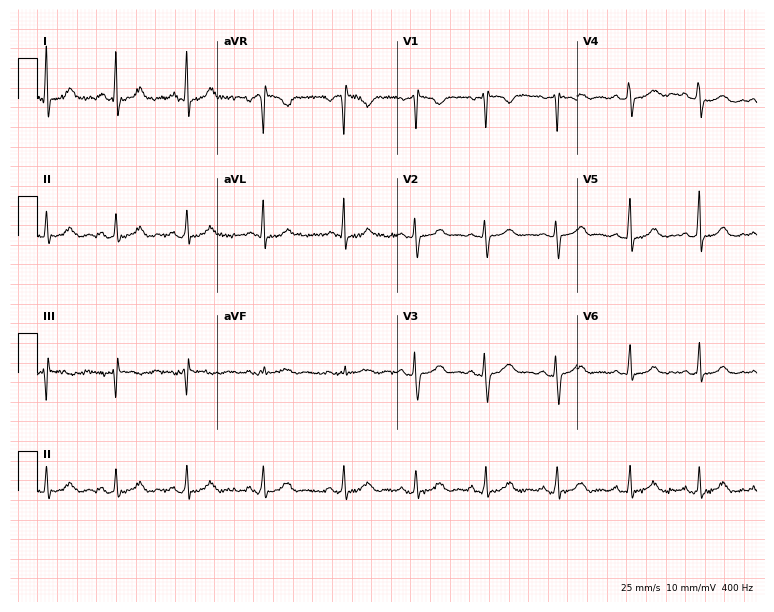
ECG (7.3-second recording at 400 Hz) — a woman, 35 years old. Labelled as a normal ECG.